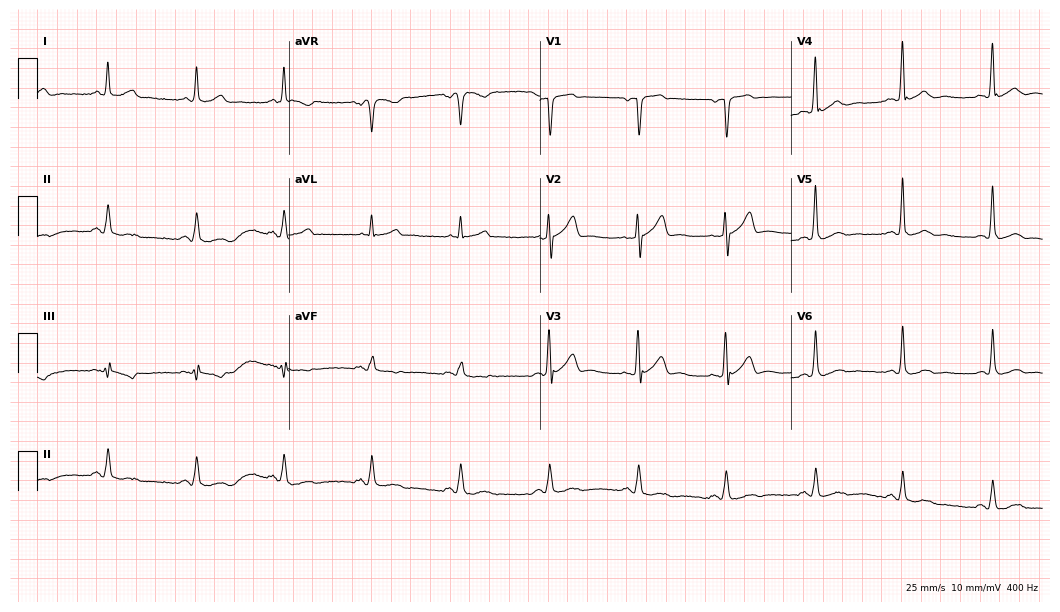
Electrocardiogram, a 63-year-old man. Of the six screened findings (first-degree AV block, right bundle branch block, left bundle branch block, sinus bradycardia, atrial fibrillation, sinus tachycardia), none is recorded.